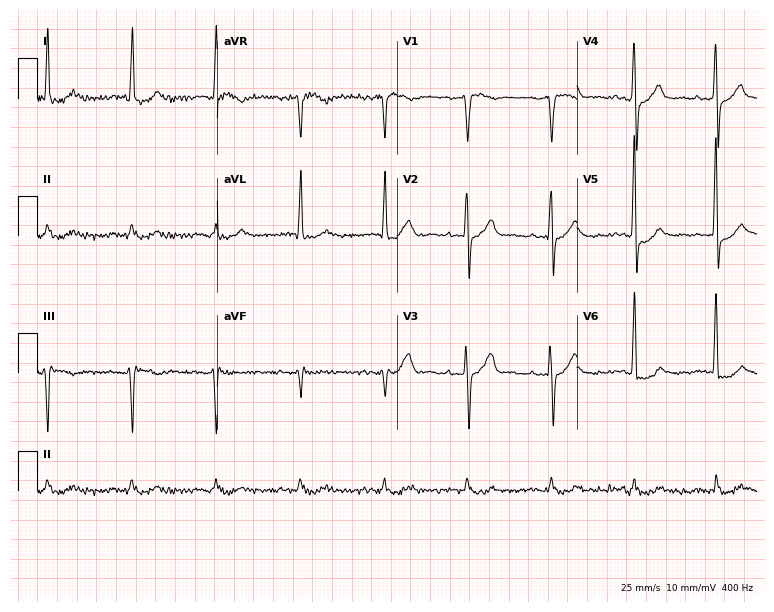
ECG (7.3-second recording at 400 Hz) — an 84-year-old male. Screened for six findings — first-degree AV block, right bundle branch block, left bundle branch block, sinus bradycardia, atrial fibrillation, sinus tachycardia — none is recorded.